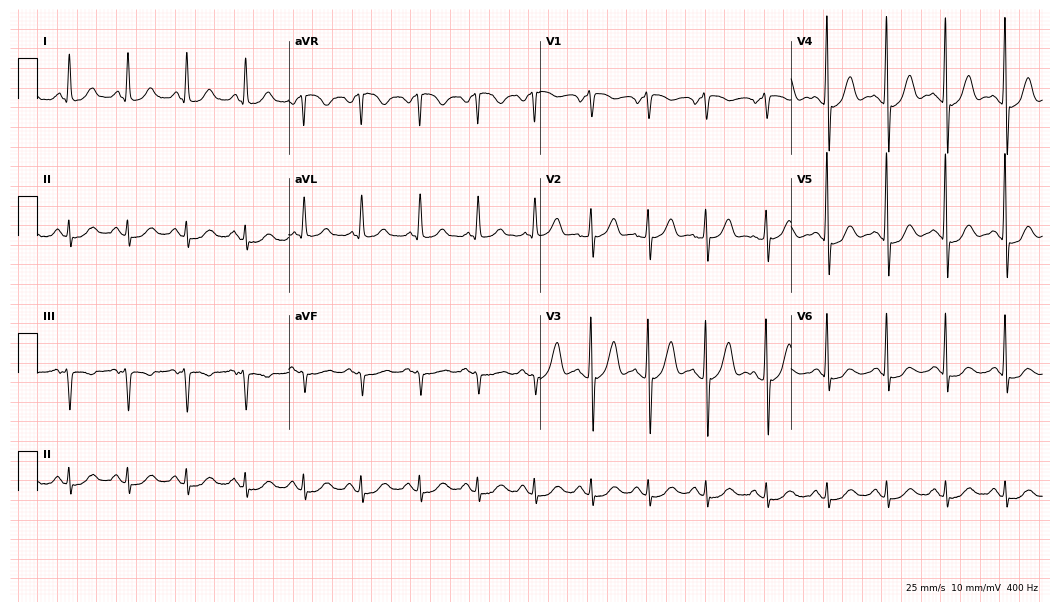
ECG (10.2-second recording at 400 Hz) — a 73-year-old male. Screened for six findings — first-degree AV block, right bundle branch block, left bundle branch block, sinus bradycardia, atrial fibrillation, sinus tachycardia — none is recorded.